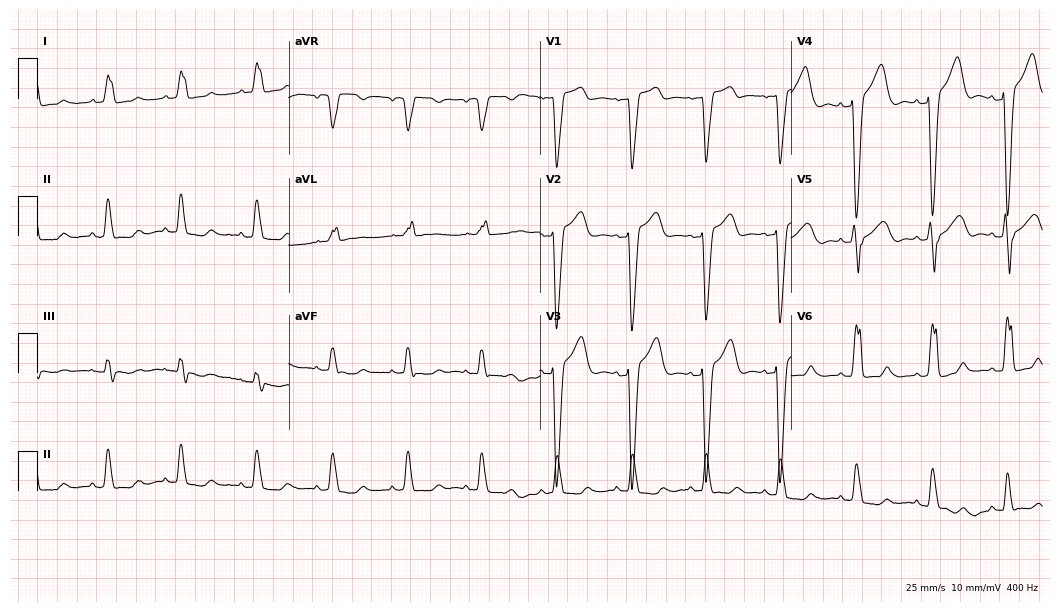
Standard 12-lead ECG recorded from a female, 60 years old (10.2-second recording at 400 Hz). The tracing shows left bundle branch block.